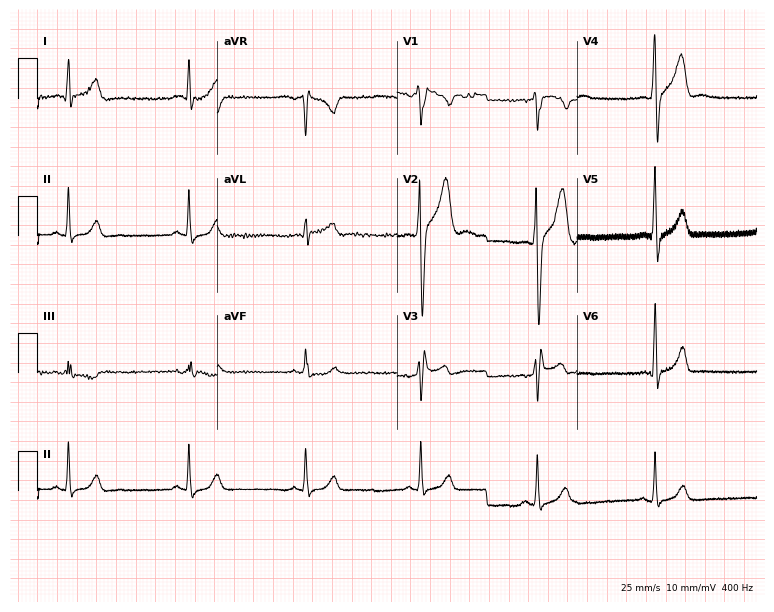
Electrocardiogram (7.3-second recording at 400 Hz), a 33-year-old man. Interpretation includes sinus bradycardia (a sinus rate of 50 beats per minute or less).